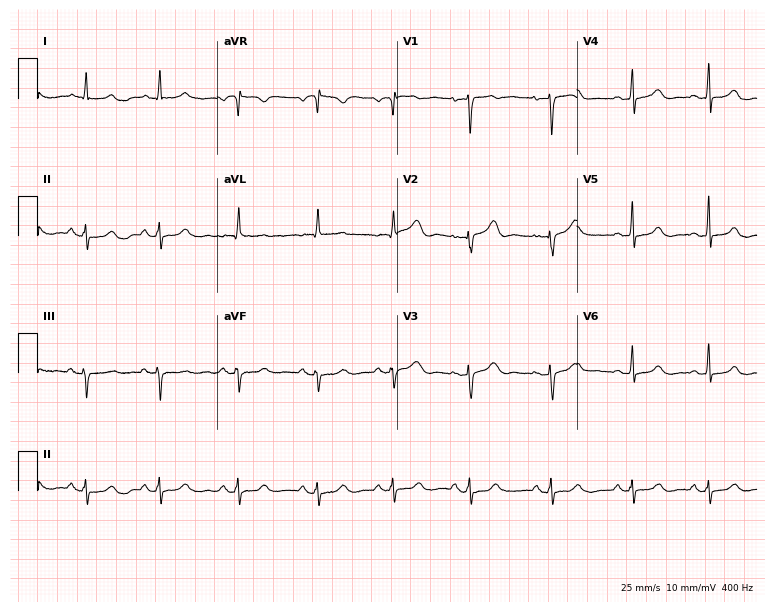
Electrocardiogram (7.3-second recording at 400 Hz), a female, 37 years old. Overall reading on record: normal ECG.